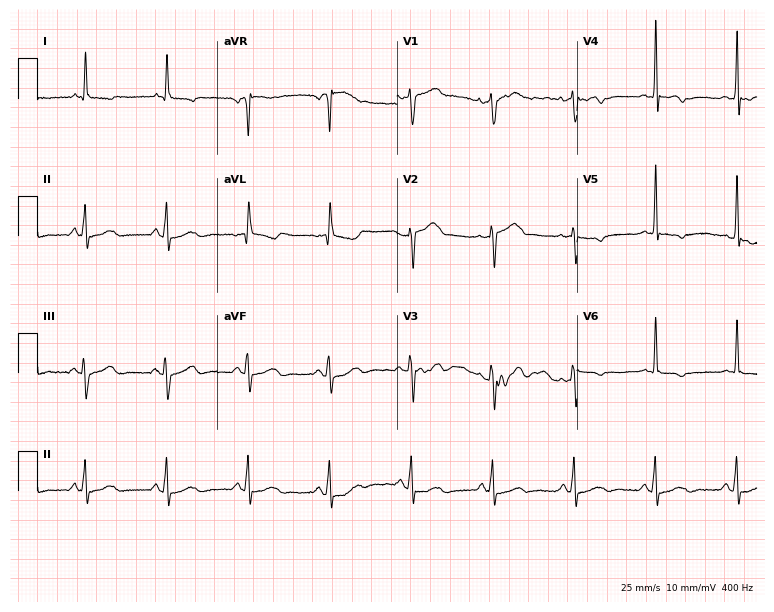
Standard 12-lead ECG recorded from a 66-year-old man. None of these six findings is recorded: first-degree AV block, right bundle branch block, left bundle branch block, sinus bradycardia, atrial fibrillation, sinus tachycardia.